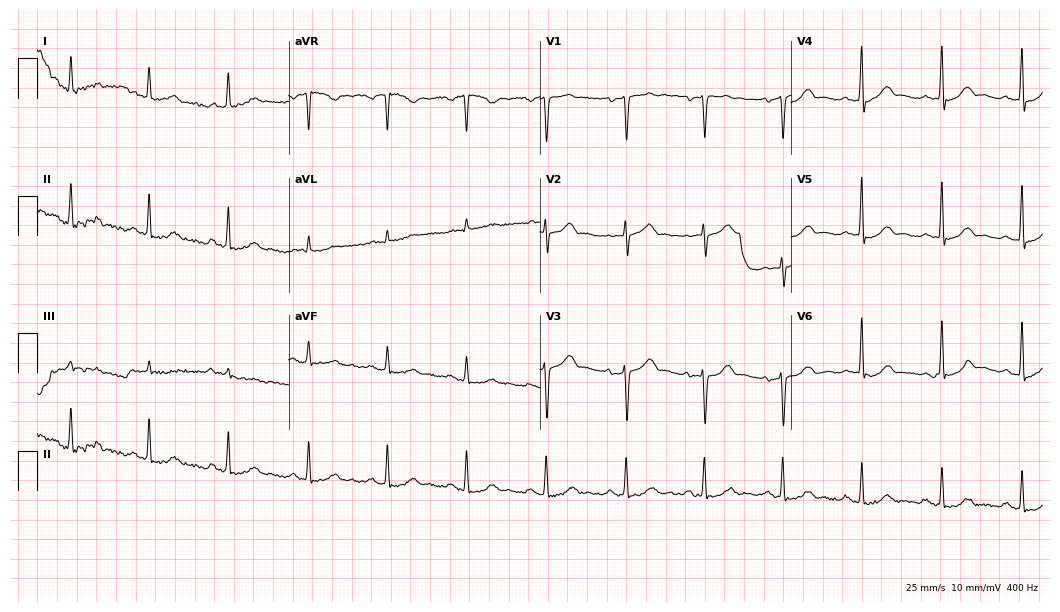
Standard 12-lead ECG recorded from a 50-year-old male (10.2-second recording at 400 Hz). Read as a normal ECG.